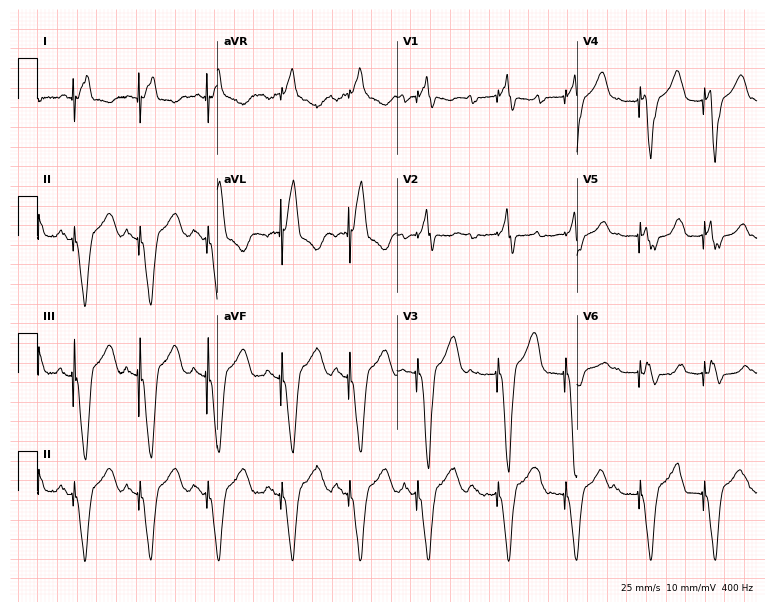
12-lead ECG from a 65-year-old male. No first-degree AV block, right bundle branch block, left bundle branch block, sinus bradycardia, atrial fibrillation or sinus tachycardia recorded for this tracing. Only these six findings were labelled.